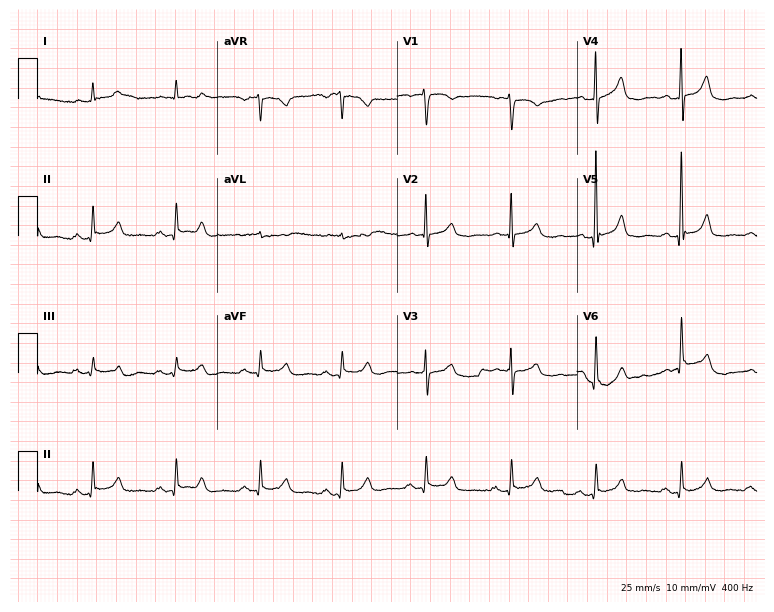
Standard 12-lead ECG recorded from a female patient, 81 years old (7.3-second recording at 400 Hz). None of these six findings is recorded: first-degree AV block, right bundle branch block, left bundle branch block, sinus bradycardia, atrial fibrillation, sinus tachycardia.